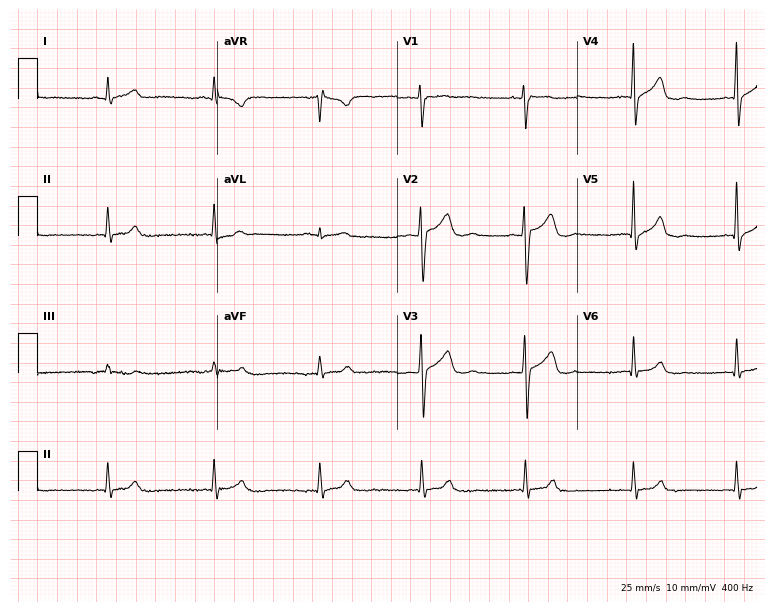
ECG (7.3-second recording at 400 Hz) — a 29-year-old man. Screened for six findings — first-degree AV block, right bundle branch block, left bundle branch block, sinus bradycardia, atrial fibrillation, sinus tachycardia — none is recorded. Other findings, if any, are not listed.